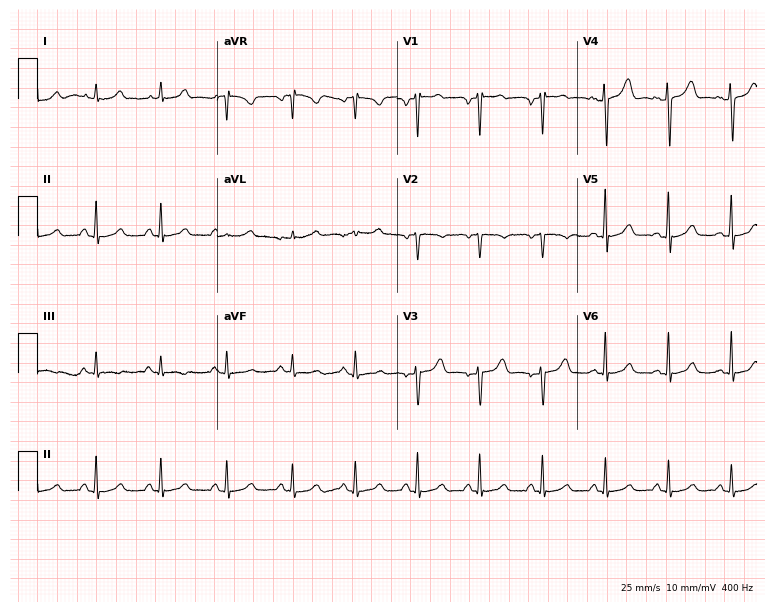
Resting 12-lead electrocardiogram (7.3-second recording at 400 Hz). Patient: a 33-year-old female. None of these six findings is recorded: first-degree AV block, right bundle branch block, left bundle branch block, sinus bradycardia, atrial fibrillation, sinus tachycardia.